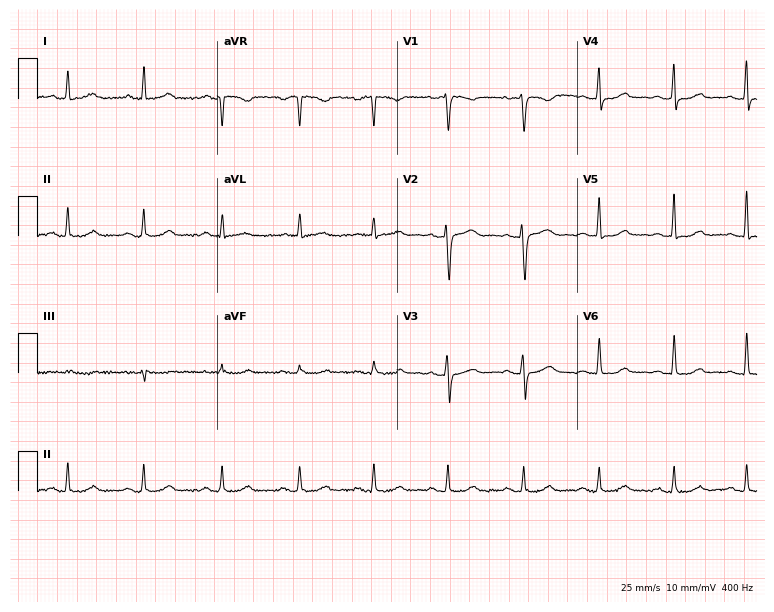
Standard 12-lead ECG recorded from a woman, 44 years old. Read as a normal ECG.